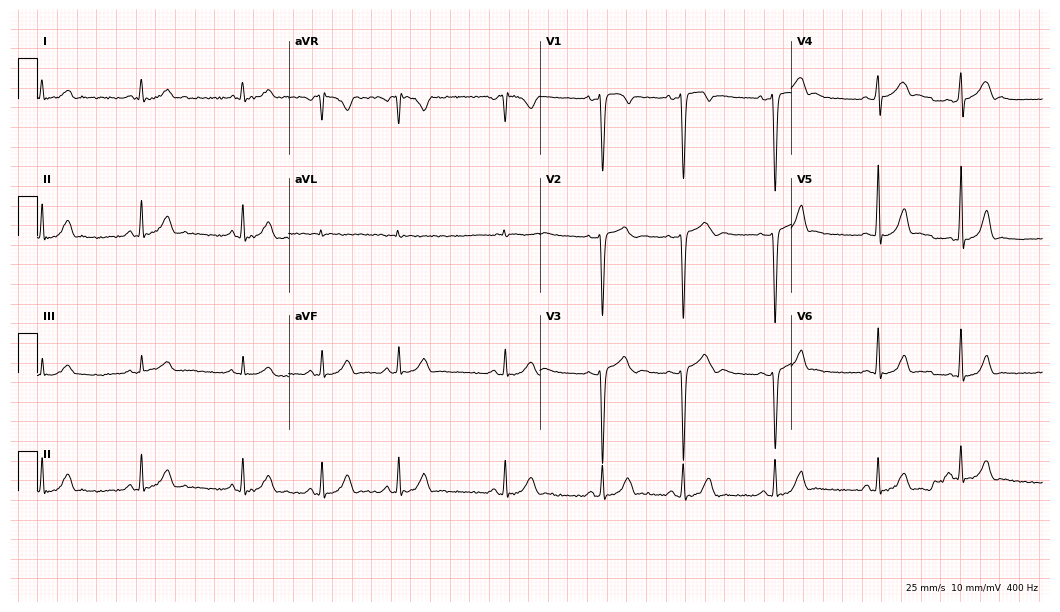
Electrocardiogram, a male, 17 years old. Of the six screened findings (first-degree AV block, right bundle branch block (RBBB), left bundle branch block (LBBB), sinus bradycardia, atrial fibrillation (AF), sinus tachycardia), none is recorded. Other findings, if any, are not listed.